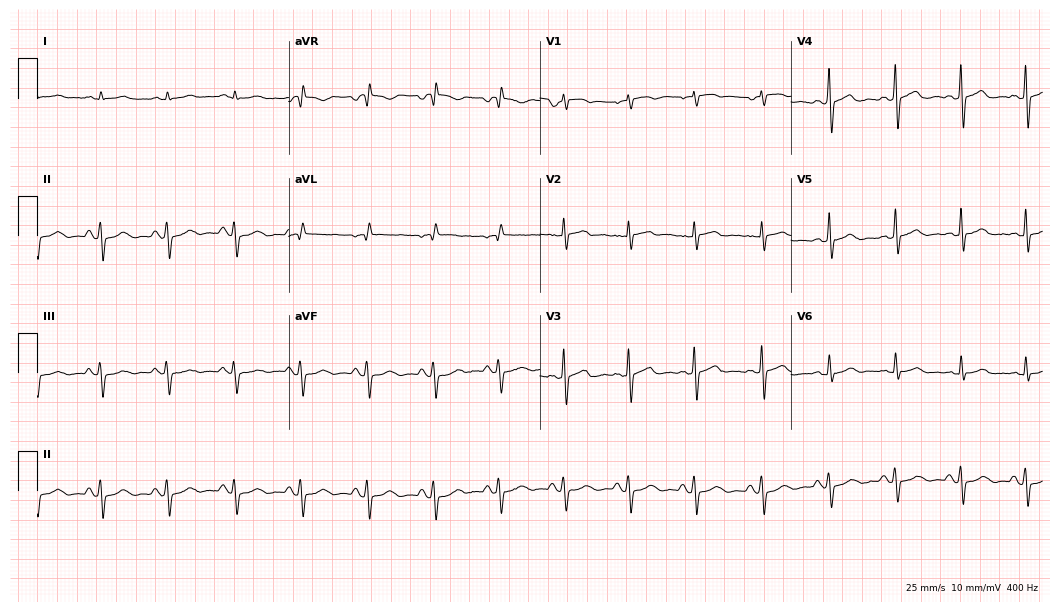
12-lead ECG from a male, 74 years old. Screened for six findings — first-degree AV block, right bundle branch block, left bundle branch block, sinus bradycardia, atrial fibrillation, sinus tachycardia — none is recorded. Other findings, if any, are not listed.